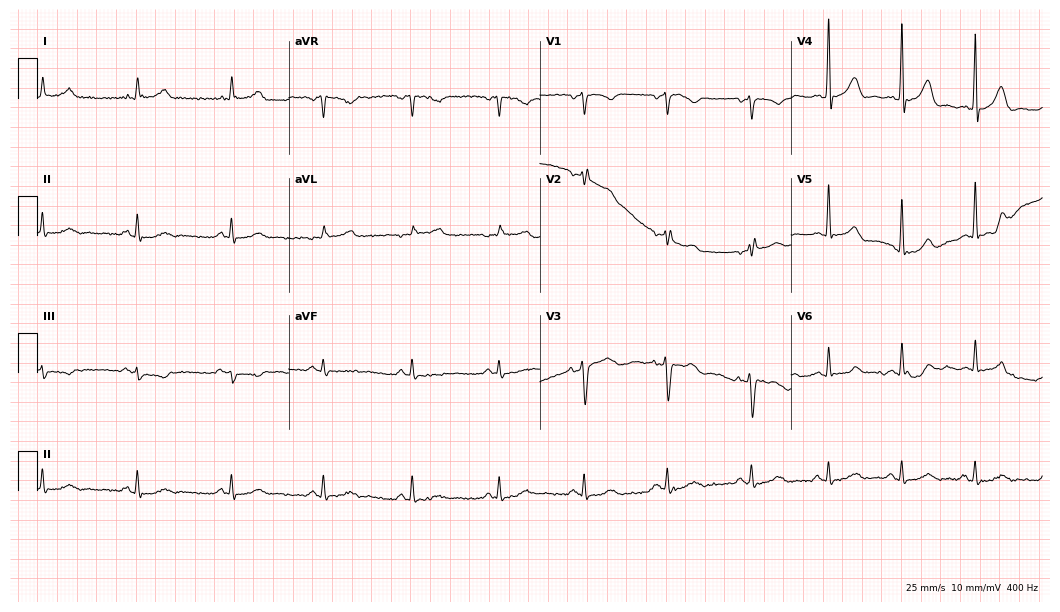
Standard 12-lead ECG recorded from a man, 43 years old. Read as a normal ECG.